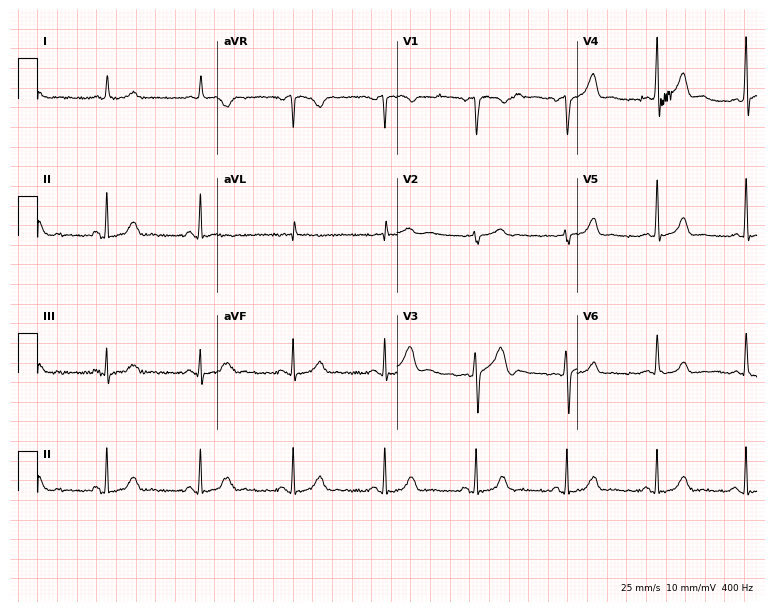
12-lead ECG from a man, 53 years old. Labelled as a normal ECG.